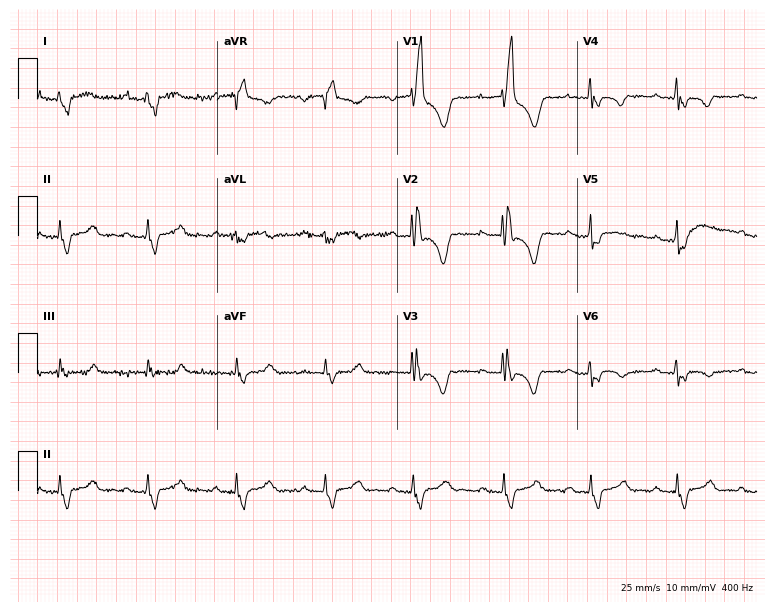
12-lead ECG from a 32-year-old female patient. Findings include first-degree AV block, right bundle branch block.